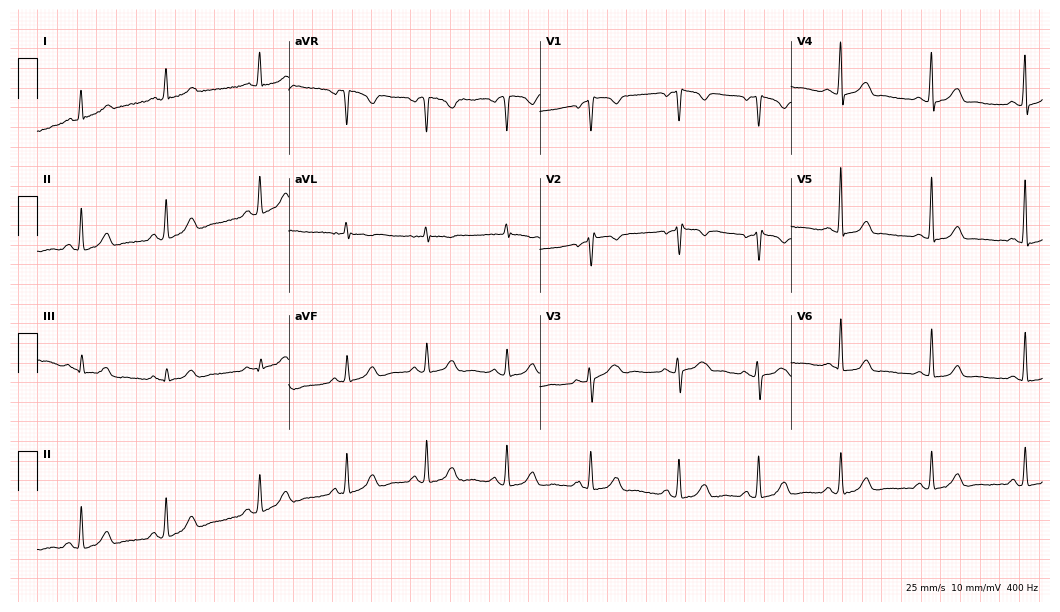
ECG (10.2-second recording at 400 Hz) — a female, 40 years old. Screened for six findings — first-degree AV block, right bundle branch block (RBBB), left bundle branch block (LBBB), sinus bradycardia, atrial fibrillation (AF), sinus tachycardia — none is recorded.